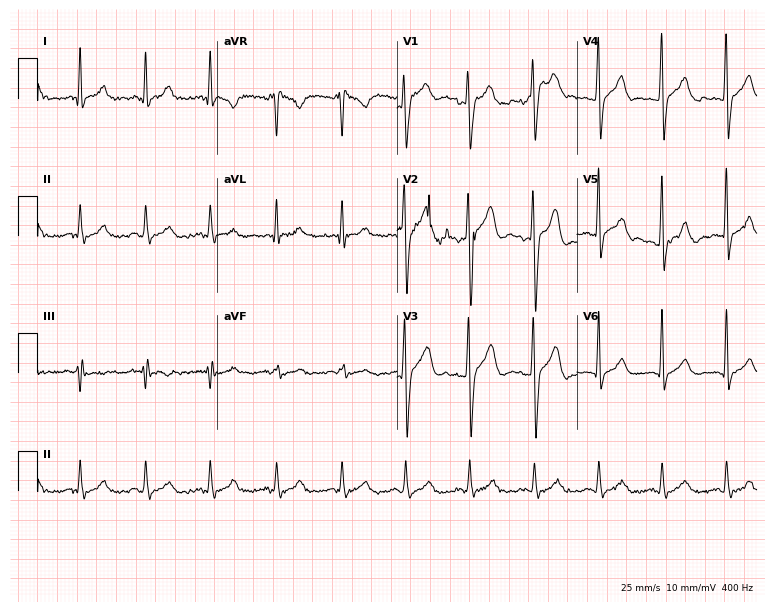
ECG (7.3-second recording at 400 Hz) — a male, 30 years old. Labelled as a normal ECG.